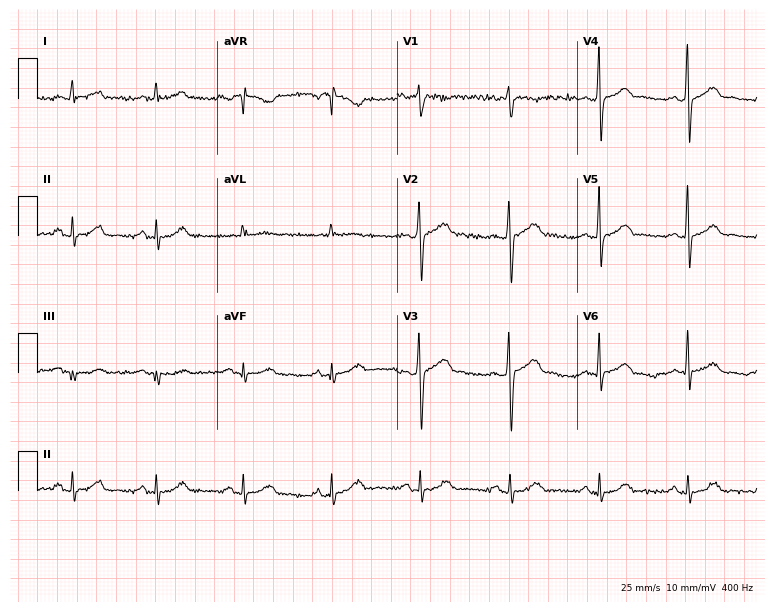
12-lead ECG from a 50-year-old male patient. Screened for six findings — first-degree AV block, right bundle branch block, left bundle branch block, sinus bradycardia, atrial fibrillation, sinus tachycardia — none is recorded.